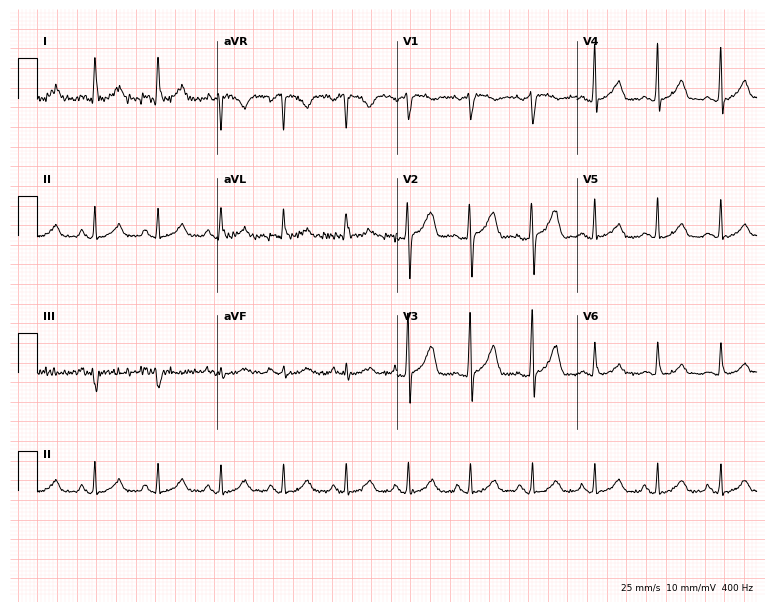
Electrocardiogram, a 74-year-old woman. Overall reading on record: normal ECG.